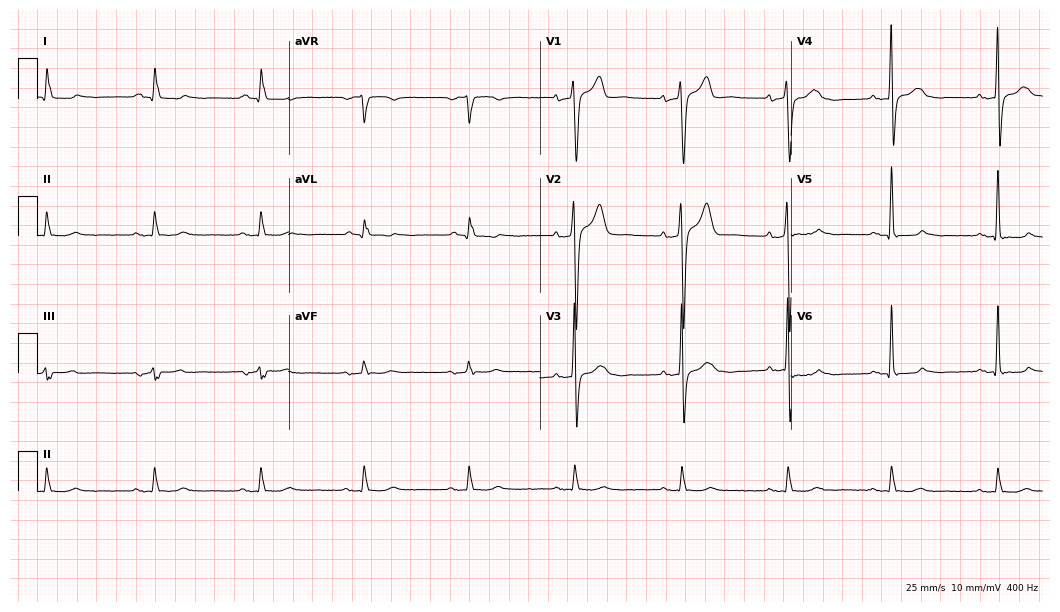
Electrocardiogram, a man, 71 years old. Of the six screened findings (first-degree AV block, right bundle branch block, left bundle branch block, sinus bradycardia, atrial fibrillation, sinus tachycardia), none is recorded.